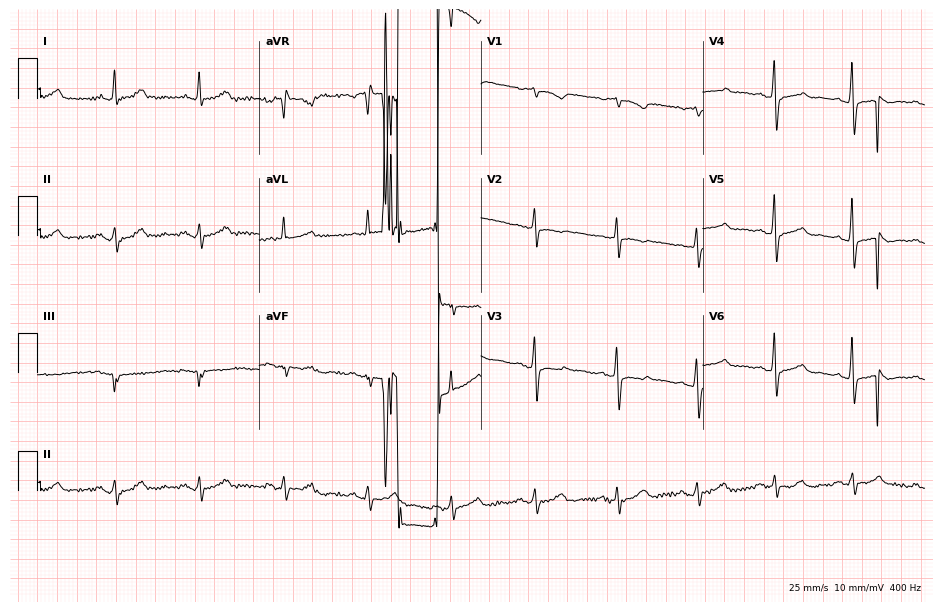
Resting 12-lead electrocardiogram. Patient: a 60-year-old female. Read as a normal ECG.